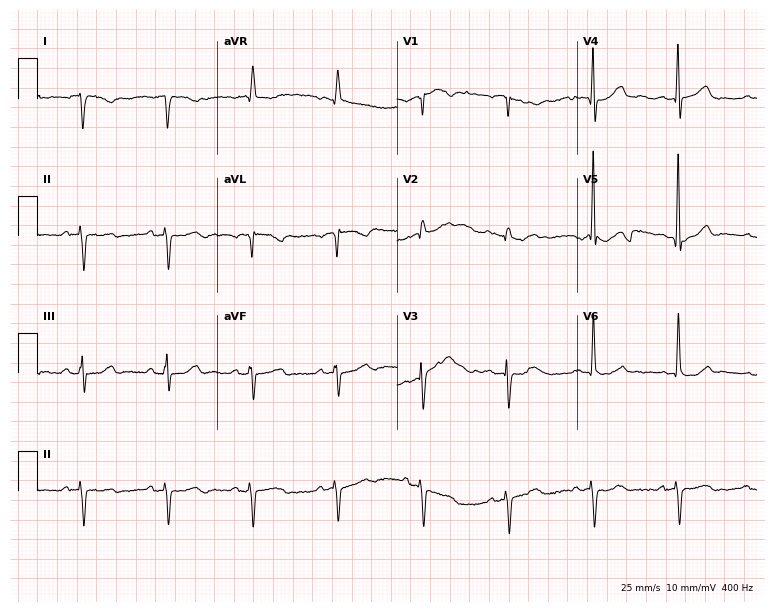
12-lead ECG from a man, 81 years old. Screened for six findings — first-degree AV block, right bundle branch block, left bundle branch block, sinus bradycardia, atrial fibrillation, sinus tachycardia — none is recorded. Only these six findings were labelled.